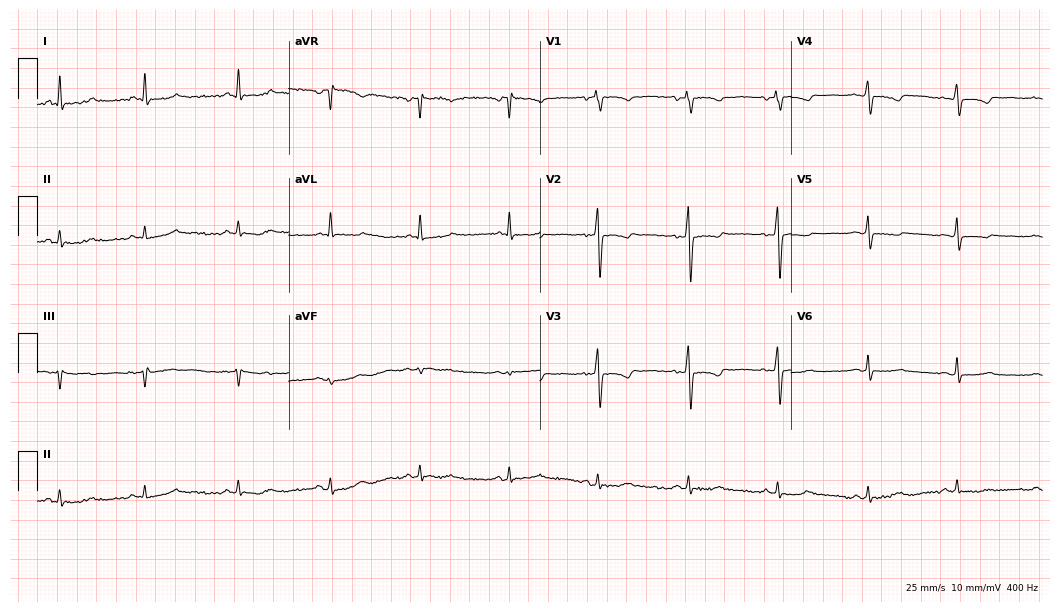
Resting 12-lead electrocardiogram. Patient: a female, 77 years old. None of these six findings is recorded: first-degree AV block, right bundle branch block, left bundle branch block, sinus bradycardia, atrial fibrillation, sinus tachycardia. Other findings, if any, are not listed.